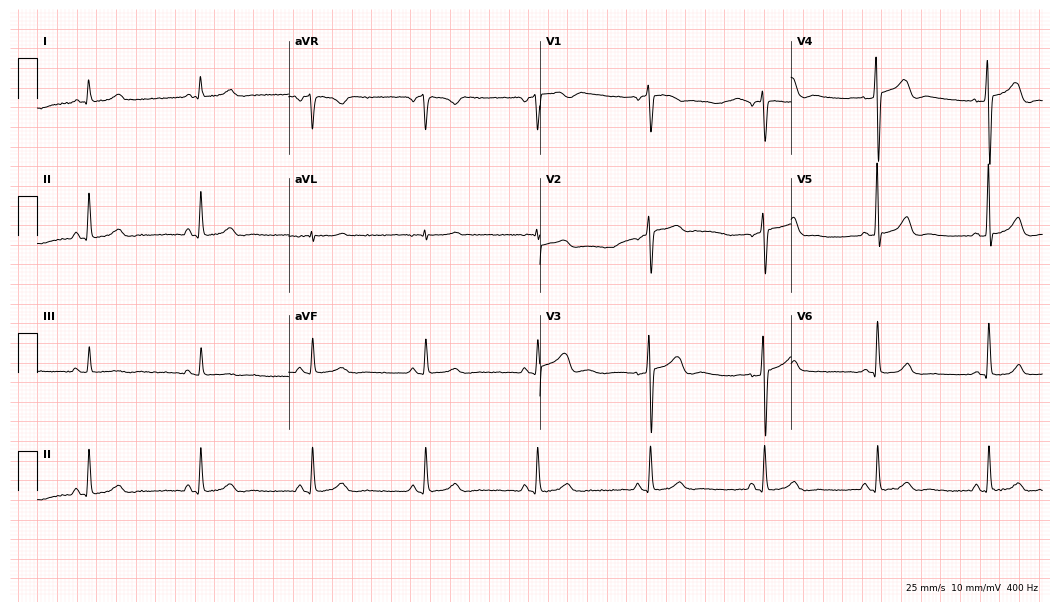
ECG — a 74-year-old male. Screened for six findings — first-degree AV block, right bundle branch block (RBBB), left bundle branch block (LBBB), sinus bradycardia, atrial fibrillation (AF), sinus tachycardia — none is recorded. Other findings, if any, are not listed.